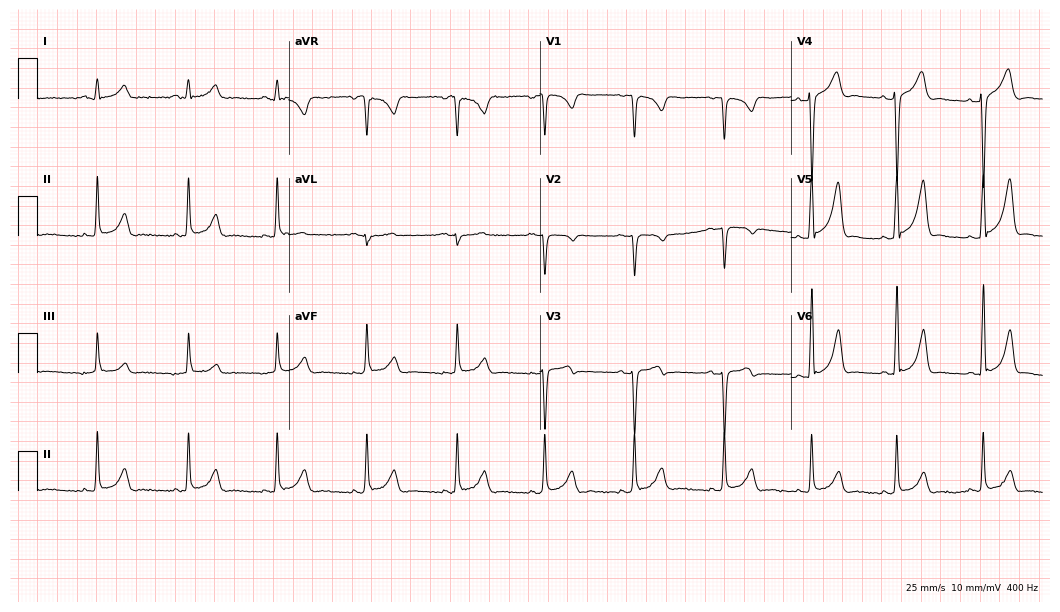
12-lead ECG from a 31-year-old man (10.2-second recording at 400 Hz). Recorded interpretation: within normal limits.